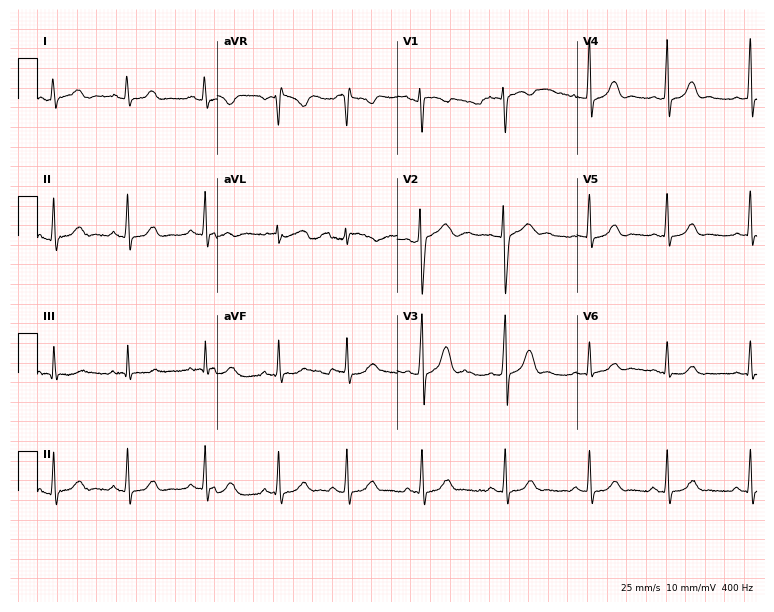
Standard 12-lead ECG recorded from a female, 21 years old (7.3-second recording at 400 Hz). None of these six findings is recorded: first-degree AV block, right bundle branch block, left bundle branch block, sinus bradycardia, atrial fibrillation, sinus tachycardia.